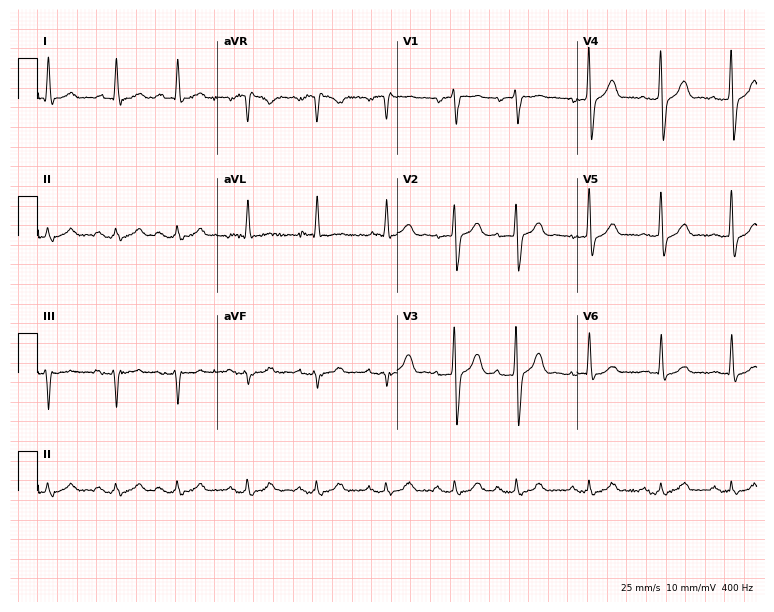
12-lead ECG (7.3-second recording at 400 Hz) from an 85-year-old man. Screened for six findings — first-degree AV block, right bundle branch block (RBBB), left bundle branch block (LBBB), sinus bradycardia, atrial fibrillation (AF), sinus tachycardia — none is recorded.